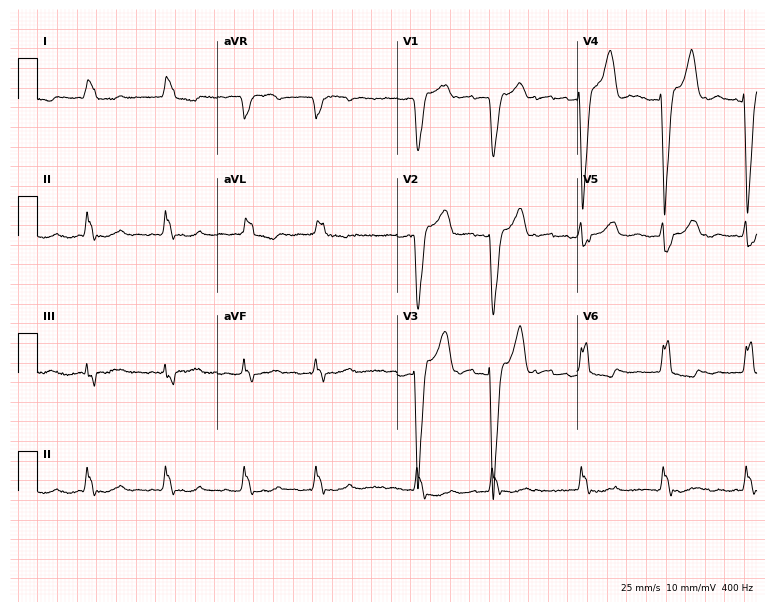
Electrocardiogram (7.3-second recording at 400 Hz), a female patient, 72 years old. Interpretation includes left bundle branch block (LBBB), atrial fibrillation (AF).